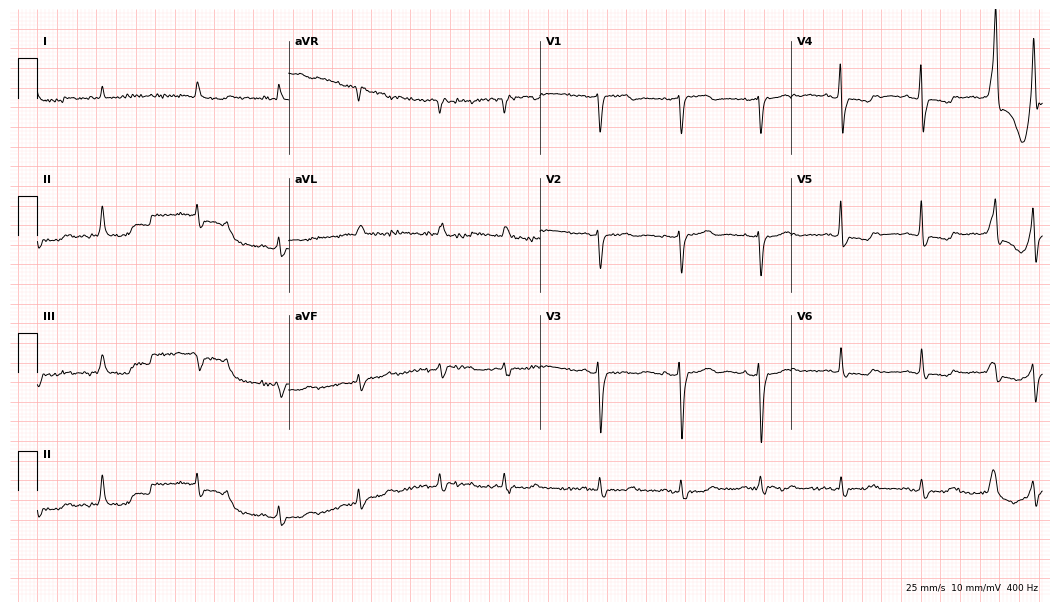
Standard 12-lead ECG recorded from a 74-year-old woman (10.2-second recording at 400 Hz). None of these six findings is recorded: first-degree AV block, right bundle branch block, left bundle branch block, sinus bradycardia, atrial fibrillation, sinus tachycardia. Other findings, if any, are not listed.